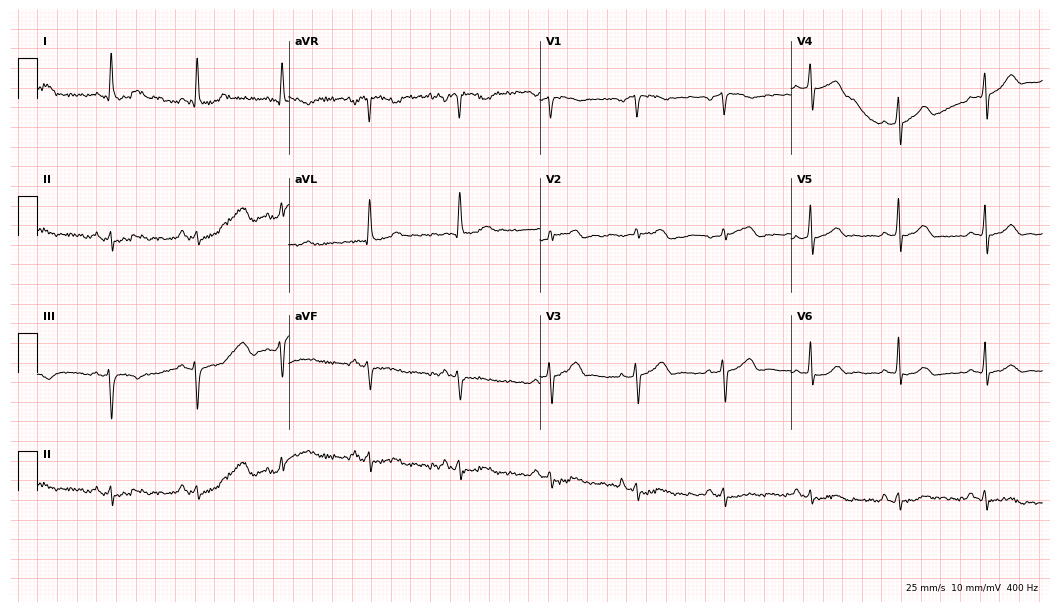
ECG — a 65-year-old male patient. Screened for six findings — first-degree AV block, right bundle branch block, left bundle branch block, sinus bradycardia, atrial fibrillation, sinus tachycardia — none is recorded.